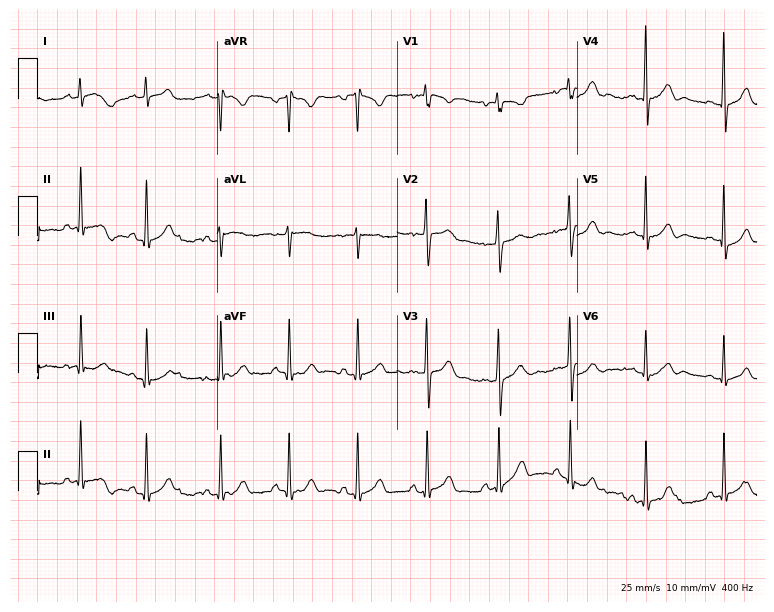
Standard 12-lead ECG recorded from a female, 17 years old. None of these six findings is recorded: first-degree AV block, right bundle branch block, left bundle branch block, sinus bradycardia, atrial fibrillation, sinus tachycardia. Only these six findings were labelled.